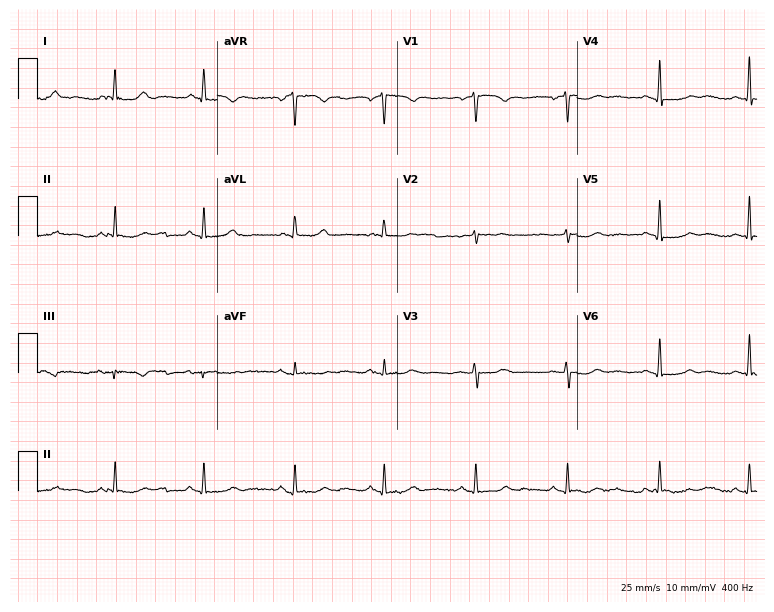
Standard 12-lead ECG recorded from a 62-year-old woman. Read as a normal ECG.